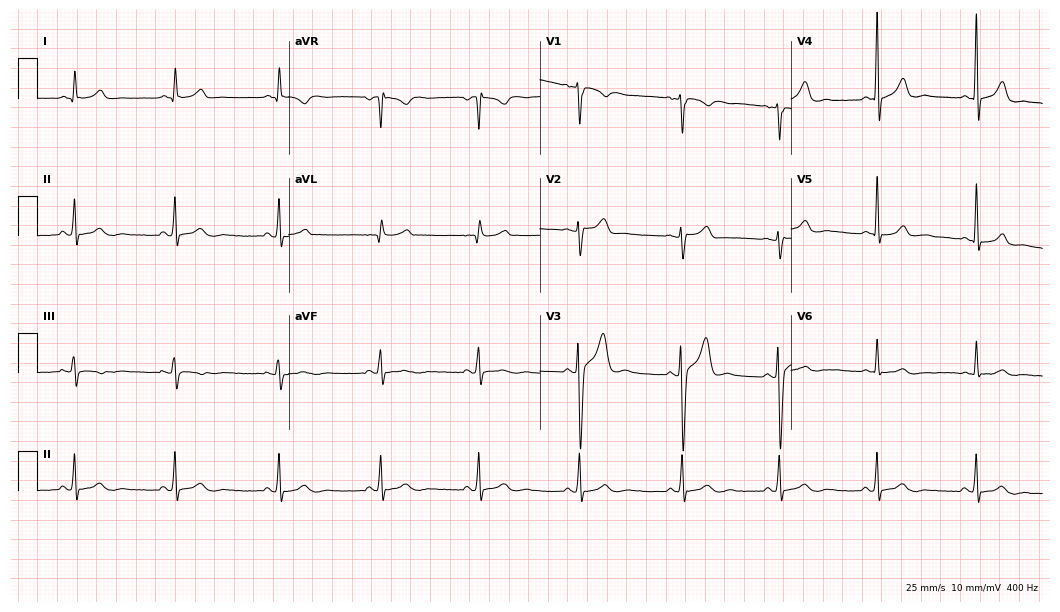
12-lead ECG (10.2-second recording at 400 Hz) from a female patient, 29 years old. Labelled as a normal ECG.